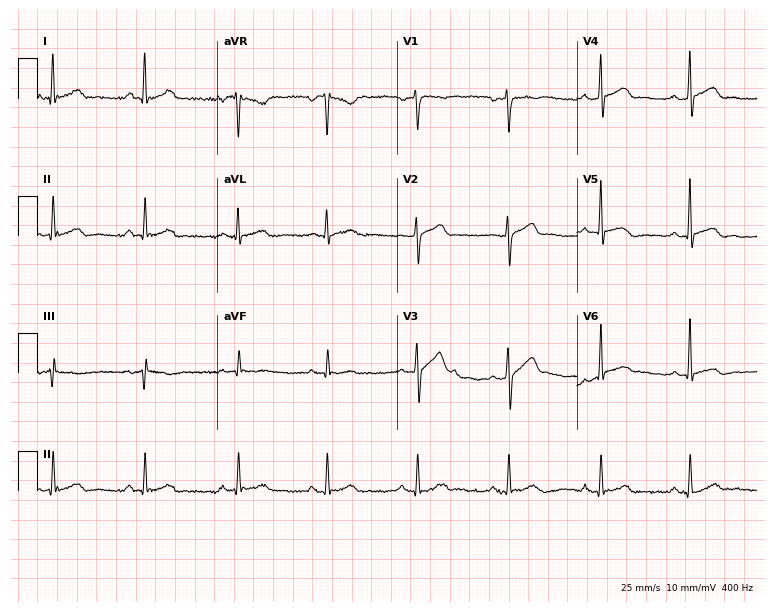
Resting 12-lead electrocardiogram (7.3-second recording at 400 Hz). Patient: a male, 42 years old. None of these six findings is recorded: first-degree AV block, right bundle branch block (RBBB), left bundle branch block (LBBB), sinus bradycardia, atrial fibrillation (AF), sinus tachycardia.